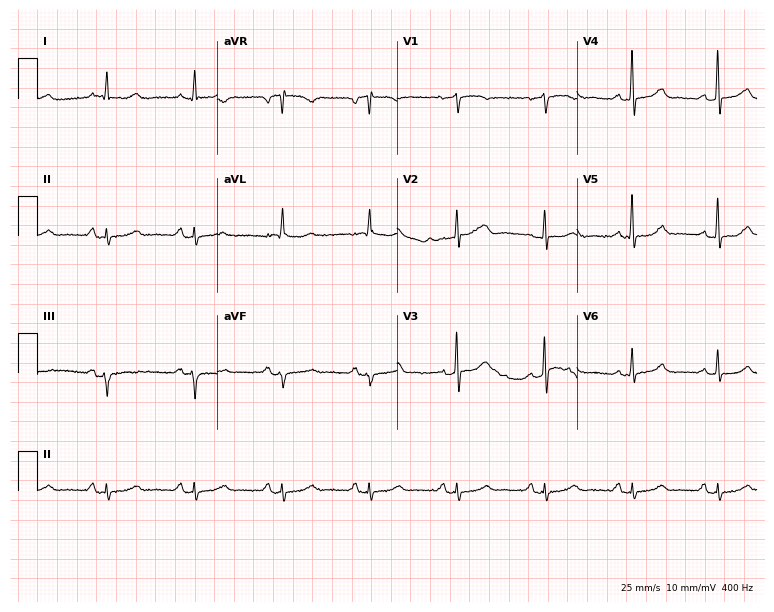
Standard 12-lead ECG recorded from a 77-year-old female. Read as a normal ECG.